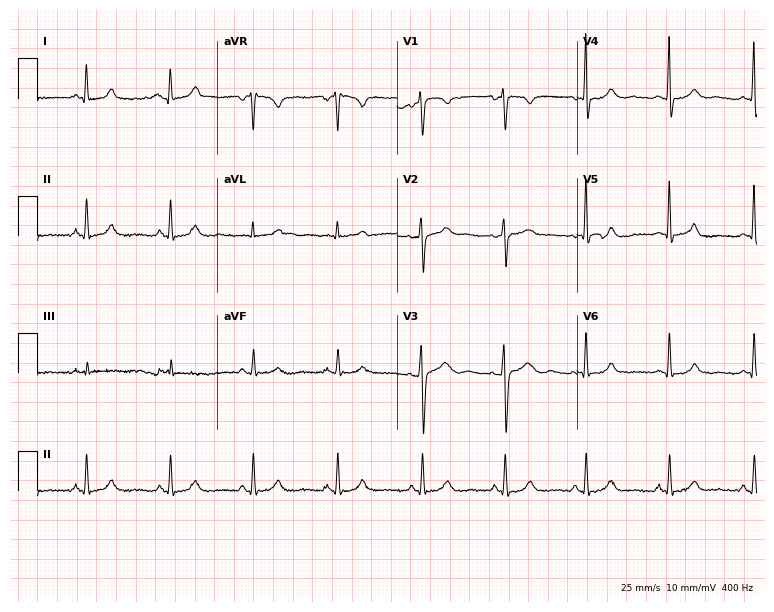
Standard 12-lead ECG recorded from a 48-year-old female. Read as a normal ECG.